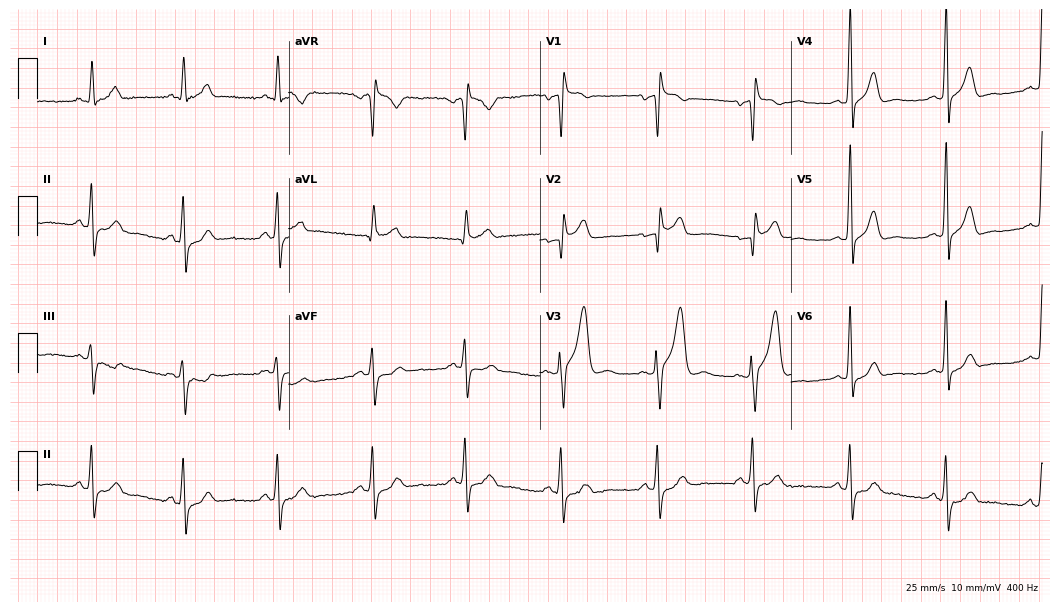
Resting 12-lead electrocardiogram (10.2-second recording at 400 Hz). Patient: a male, 40 years old. None of these six findings is recorded: first-degree AV block, right bundle branch block (RBBB), left bundle branch block (LBBB), sinus bradycardia, atrial fibrillation (AF), sinus tachycardia.